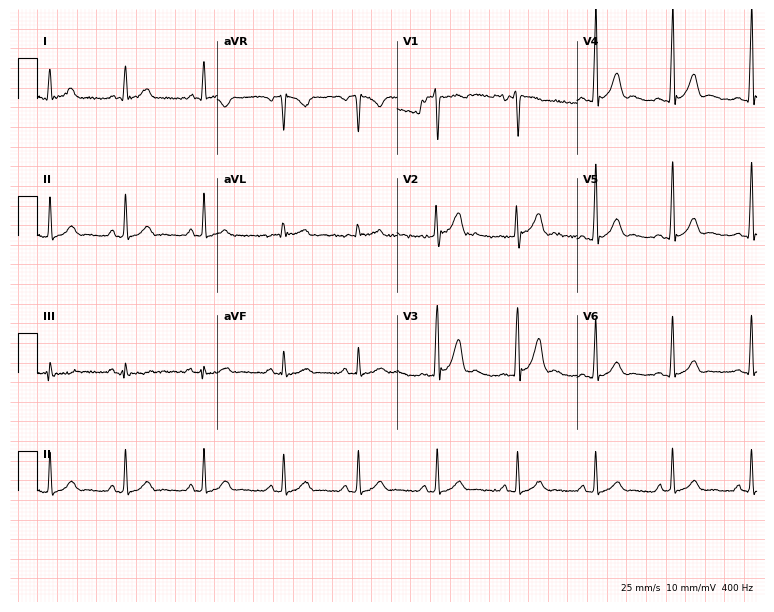
Electrocardiogram (7.3-second recording at 400 Hz), a man, 32 years old. Of the six screened findings (first-degree AV block, right bundle branch block, left bundle branch block, sinus bradycardia, atrial fibrillation, sinus tachycardia), none is recorded.